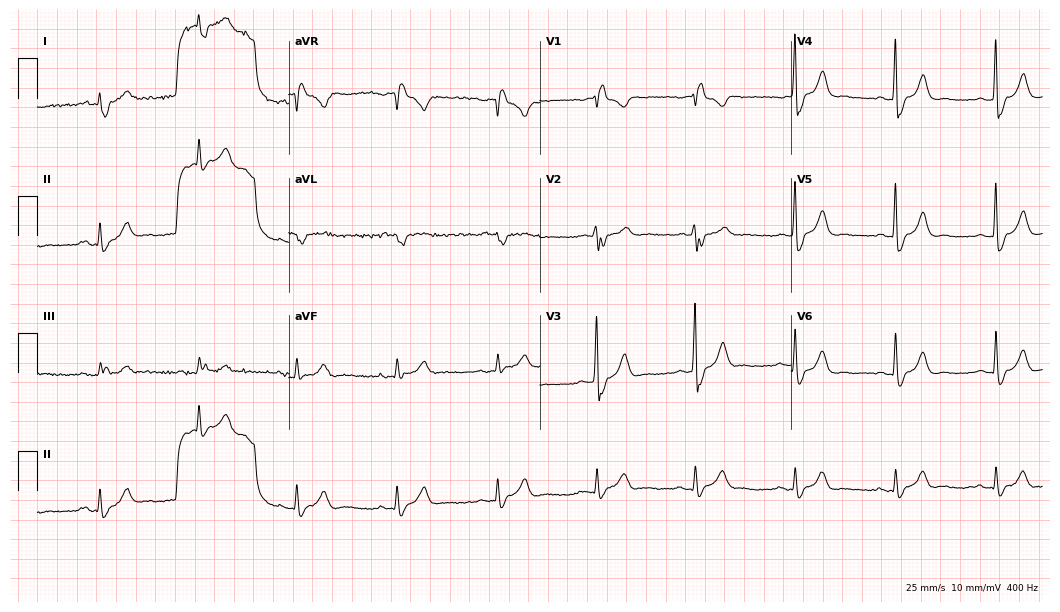
Resting 12-lead electrocardiogram. Patient: a 70-year-old man. The tracing shows right bundle branch block, atrial fibrillation.